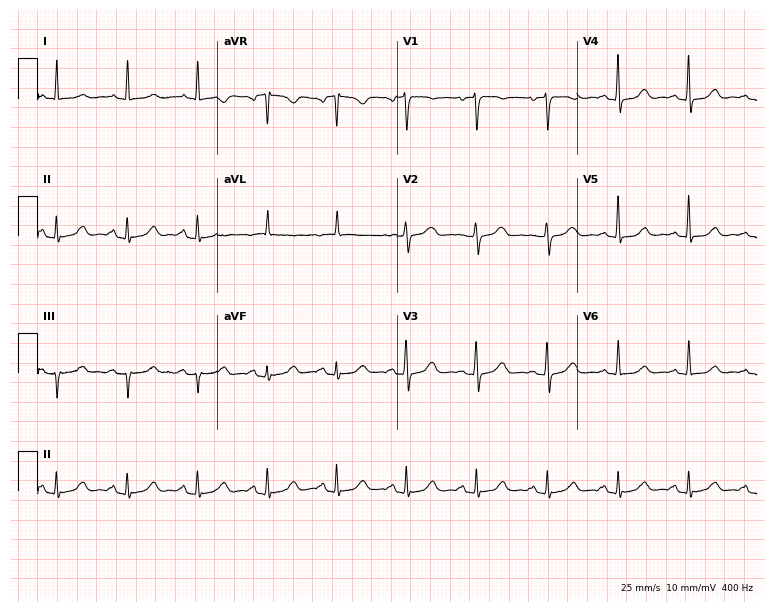
12-lead ECG from a 65-year-old female. Screened for six findings — first-degree AV block, right bundle branch block, left bundle branch block, sinus bradycardia, atrial fibrillation, sinus tachycardia — none is recorded. Findings outside these six are not listed.